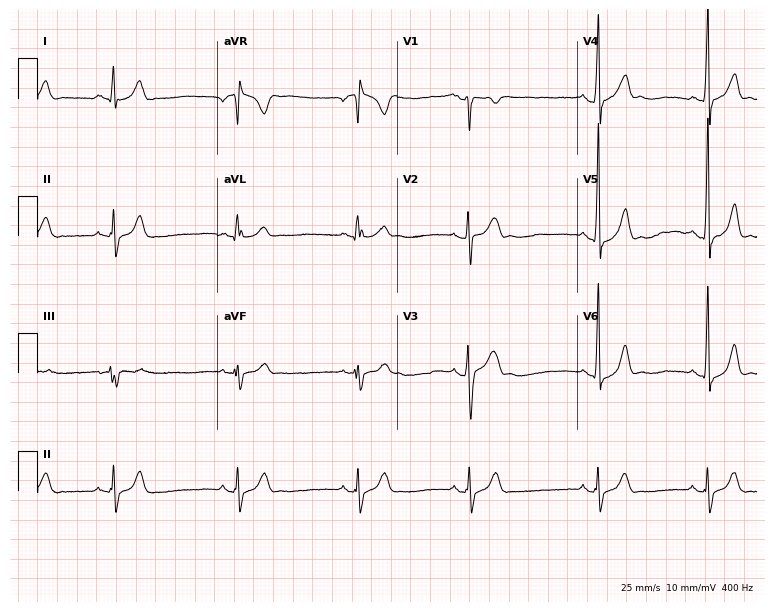
Resting 12-lead electrocardiogram (7.3-second recording at 400 Hz). Patient: a 26-year-old male. None of these six findings is recorded: first-degree AV block, right bundle branch block, left bundle branch block, sinus bradycardia, atrial fibrillation, sinus tachycardia. Other findings, if any, are not listed.